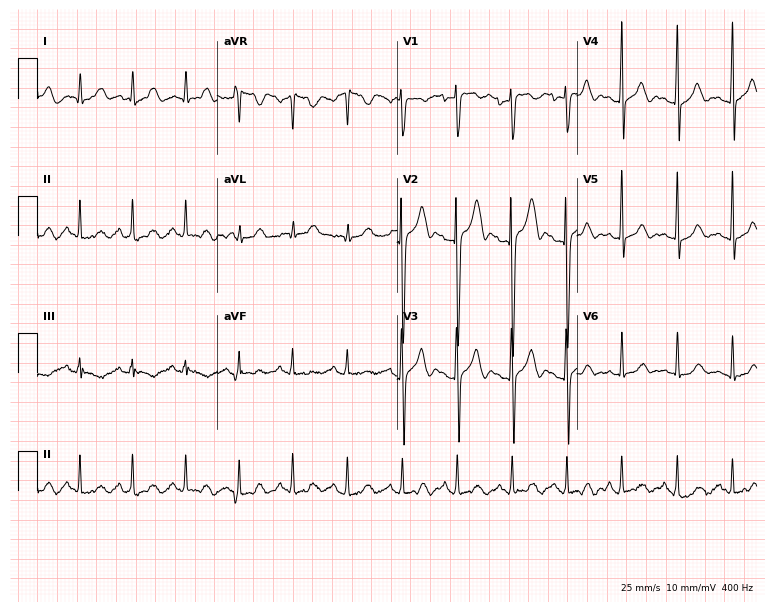
Standard 12-lead ECG recorded from a male, 21 years old (7.3-second recording at 400 Hz). The tracing shows sinus tachycardia (a sinus rate of 100 beats per minute or more).